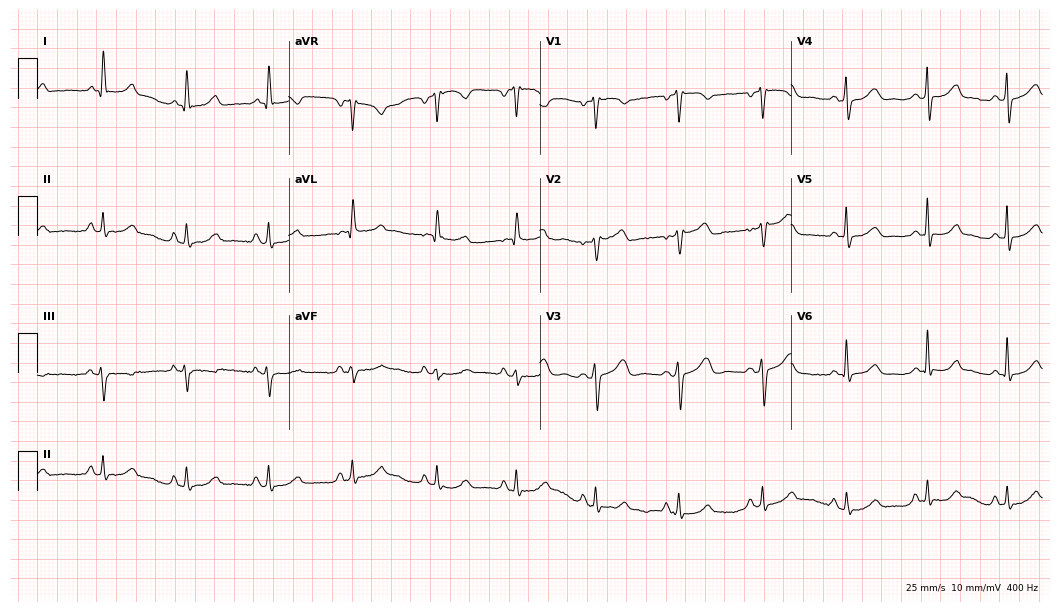
Standard 12-lead ECG recorded from a 52-year-old woman (10.2-second recording at 400 Hz). None of these six findings is recorded: first-degree AV block, right bundle branch block (RBBB), left bundle branch block (LBBB), sinus bradycardia, atrial fibrillation (AF), sinus tachycardia. Only these six findings were labelled.